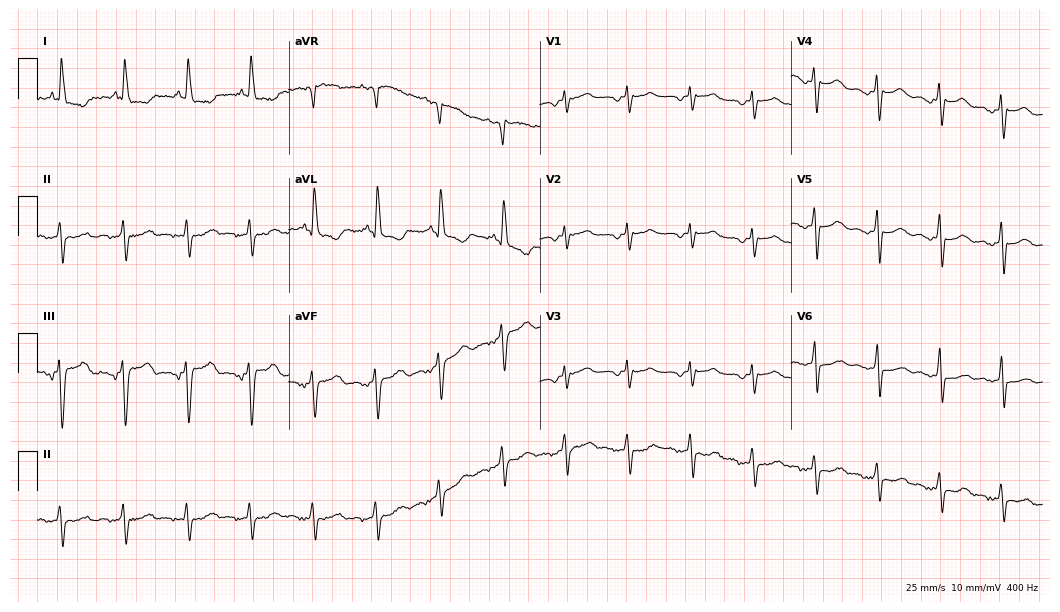
Electrocardiogram (10.2-second recording at 400 Hz), a 71-year-old female patient. Of the six screened findings (first-degree AV block, right bundle branch block, left bundle branch block, sinus bradycardia, atrial fibrillation, sinus tachycardia), none is recorded. Other findings, if any, are not listed.